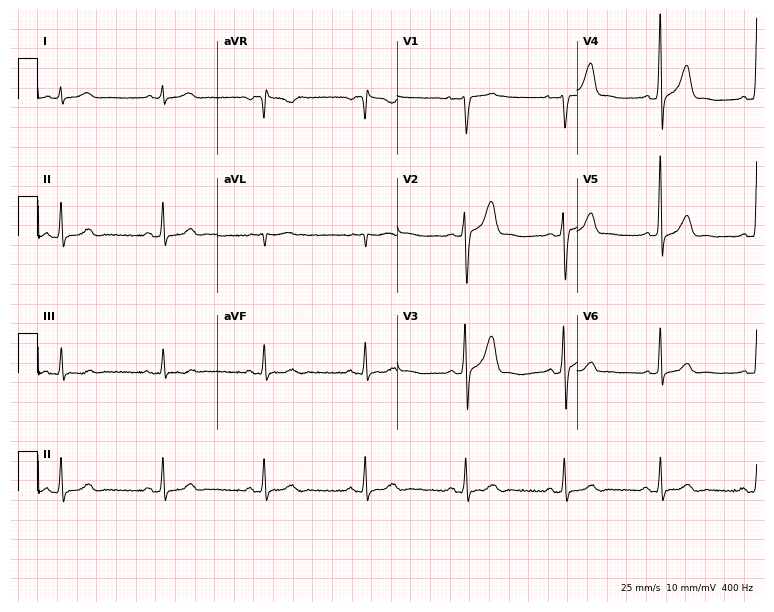
Resting 12-lead electrocardiogram (7.3-second recording at 400 Hz). Patient: a 41-year-old male. Read as a normal ECG.